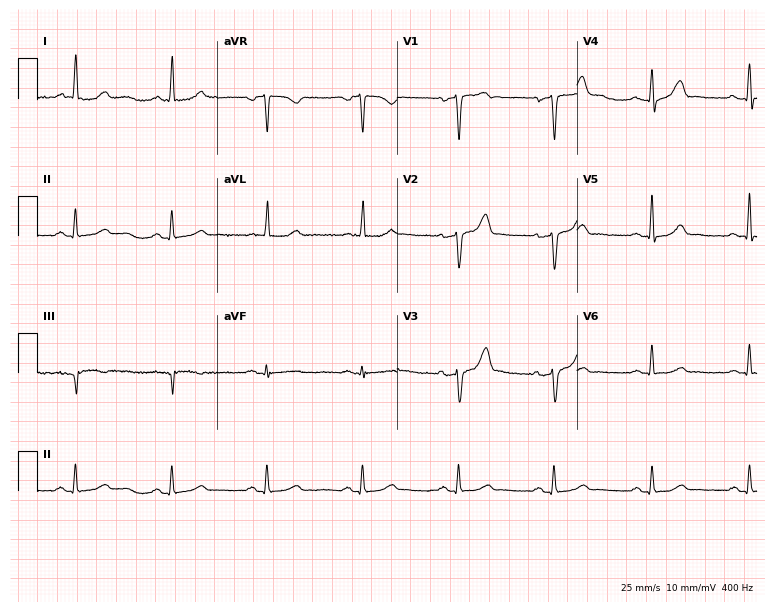
Resting 12-lead electrocardiogram. Patient: a woman, 60 years old. Read as a normal ECG.